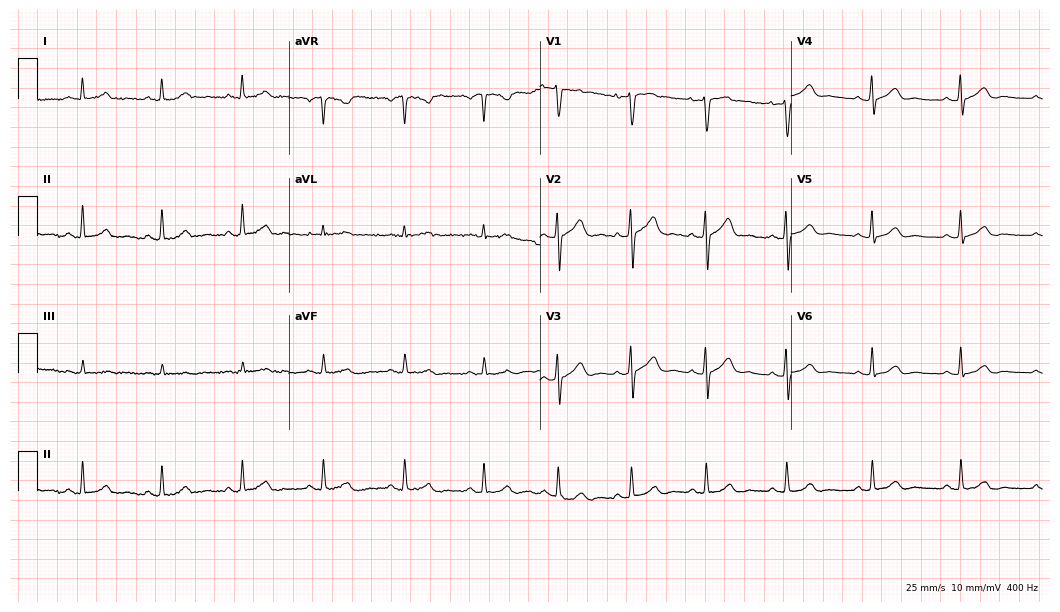
Standard 12-lead ECG recorded from a 37-year-old man. Read as a normal ECG.